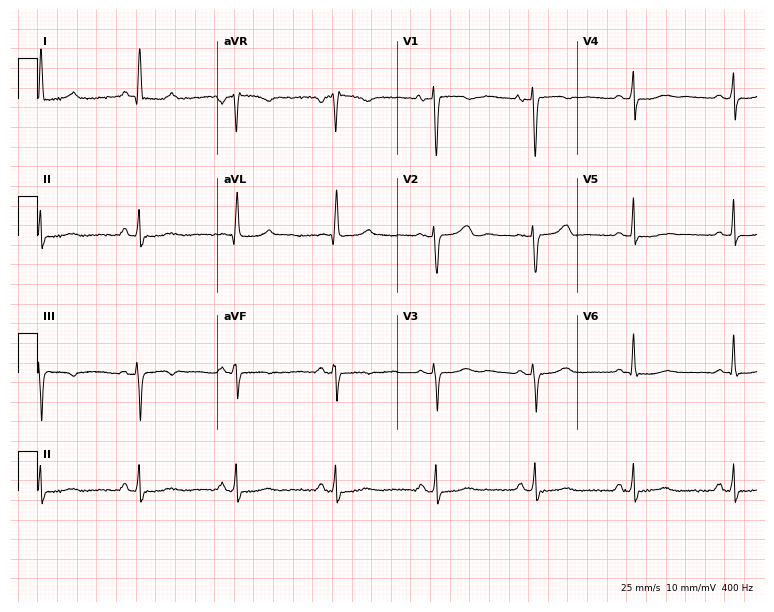
12-lead ECG from a woman, 52 years old. Recorded interpretation: within normal limits.